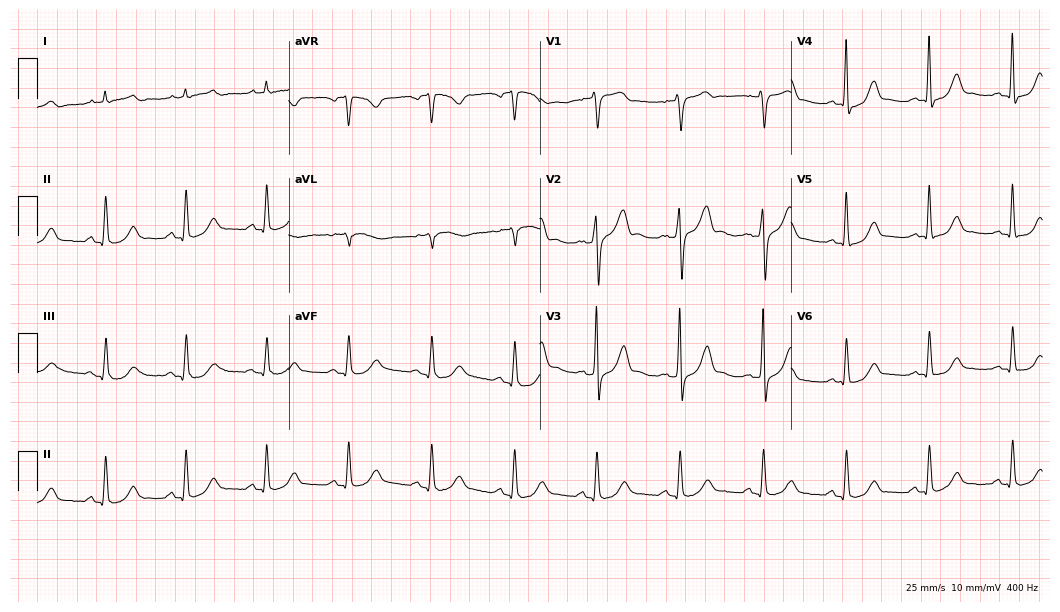
12-lead ECG from a 62-year-old man. No first-degree AV block, right bundle branch block (RBBB), left bundle branch block (LBBB), sinus bradycardia, atrial fibrillation (AF) or sinus tachycardia recorded for this tracing.